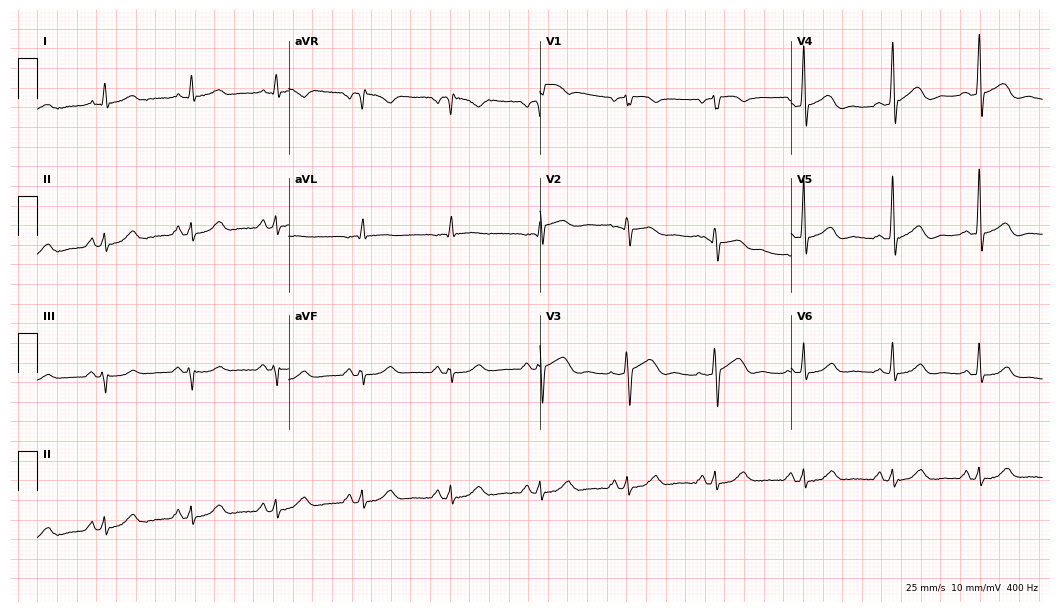
12-lead ECG from a 62-year-old woman (10.2-second recording at 400 Hz). No first-degree AV block, right bundle branch block (RBBB), left bundle branch block (LBBB), sinus bradycardia, atrial fibrillation (AF) or sinus tachycardia recorded for this tracing. Findings outside these six are not listed.